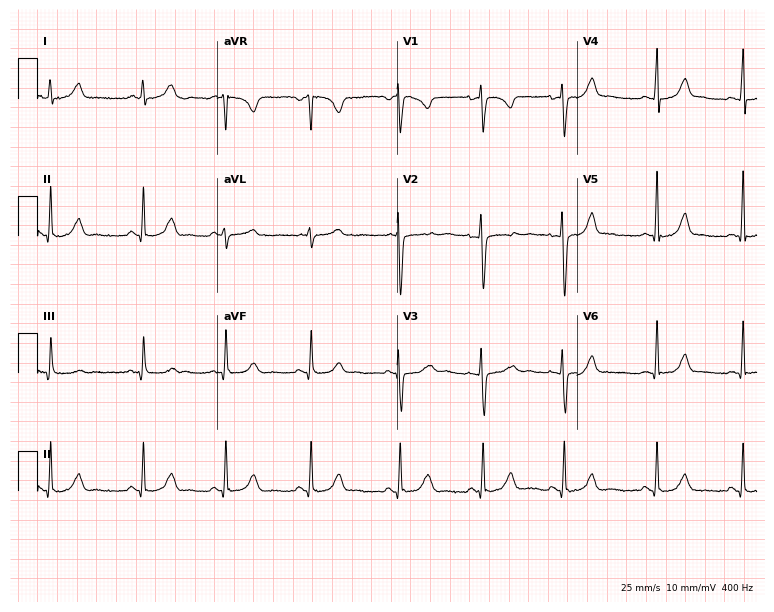
12-lead ECG from a female, 38 years old. No first-degree AV block, right bundle branch block (RBBB), left bundle branch block (LBBB), sinus bradycardia, atrial fibrillation (AF) or sinus tachycardia recorded for this tracing. Findings outside these six are not listed.